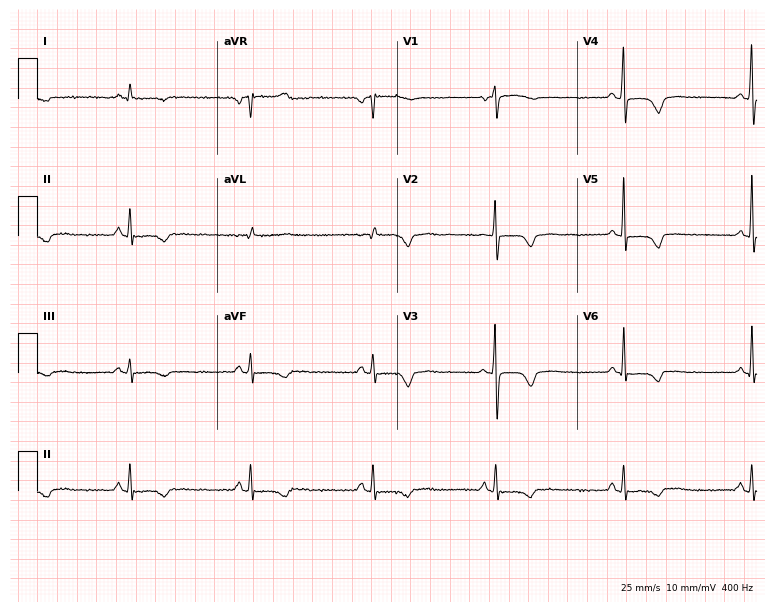
ECG (7.3-second recording at 400 Hz) — a female patient, 70 years old. Screened for six findings — first-degree AV block, right bundle branch block (RBBB), left bundle branch block (LBBB), sinus bradycardia, atrial fibrillation (AF), sinus tachycardia — none is recorded.